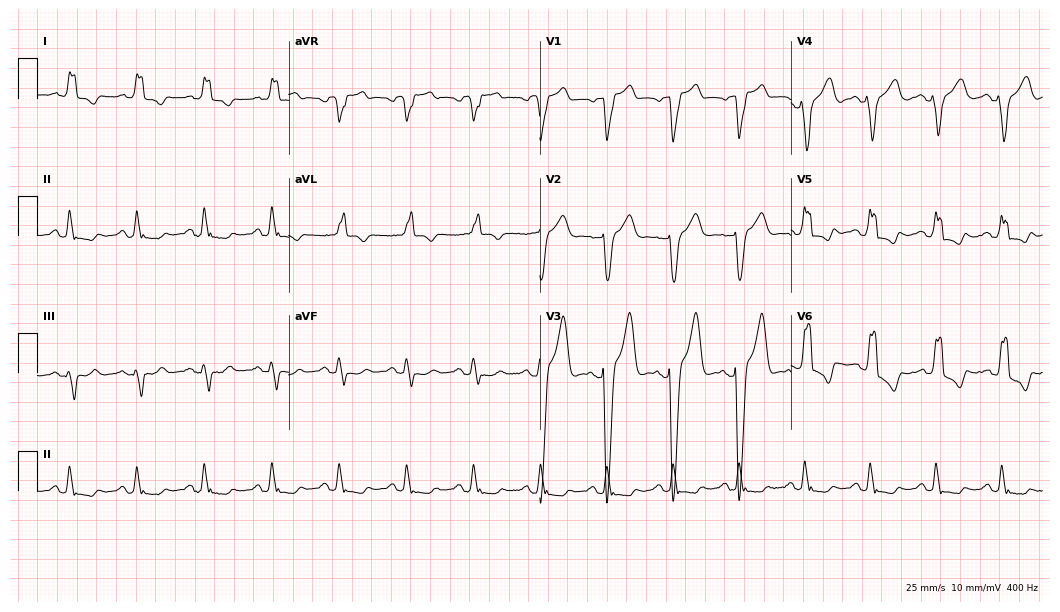
Resting 12-lead electrocardiogram. Patient: a man, 80 years old. The tracing shows left bundle branch block (LBBB).